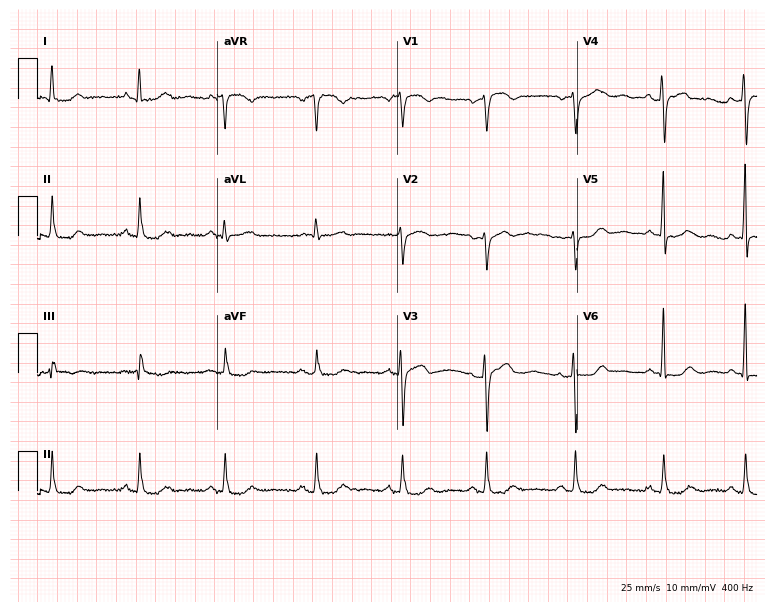
Standard 12-lead ECG recorded from a woman, 68 years old (7.3-second recording at 400 Hz). None of these six findings is recorded: first-degree AV block, right bundle branch block, left bundle branch block, sinus bradycardia, atrial fibrillation, sinus tachycardia.